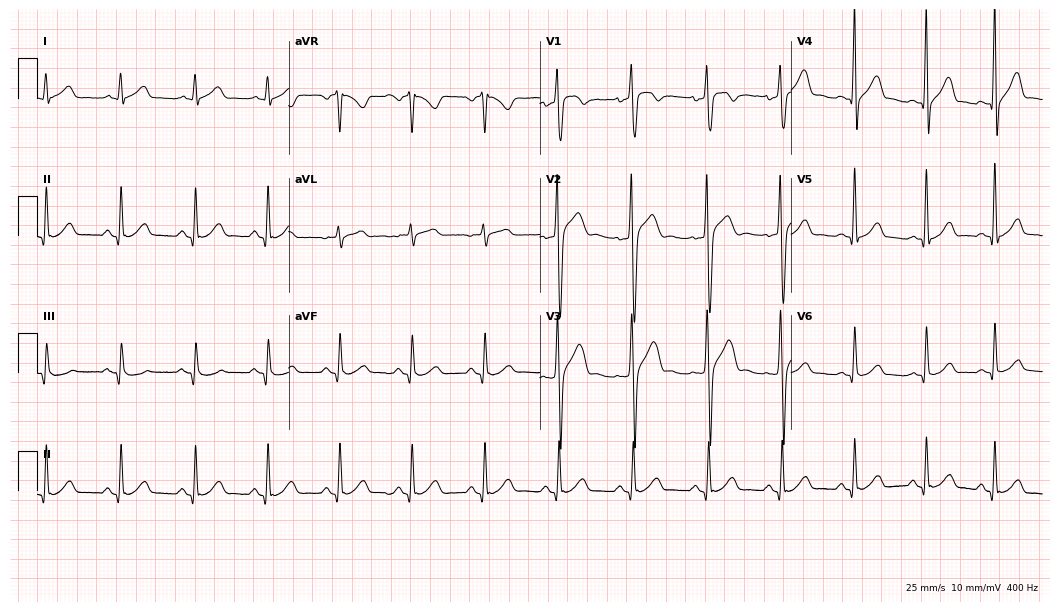
12-lead ECG (10.2-second recording at 400 Hz) from a male, 34 years old. Labelled as a normal ECG.